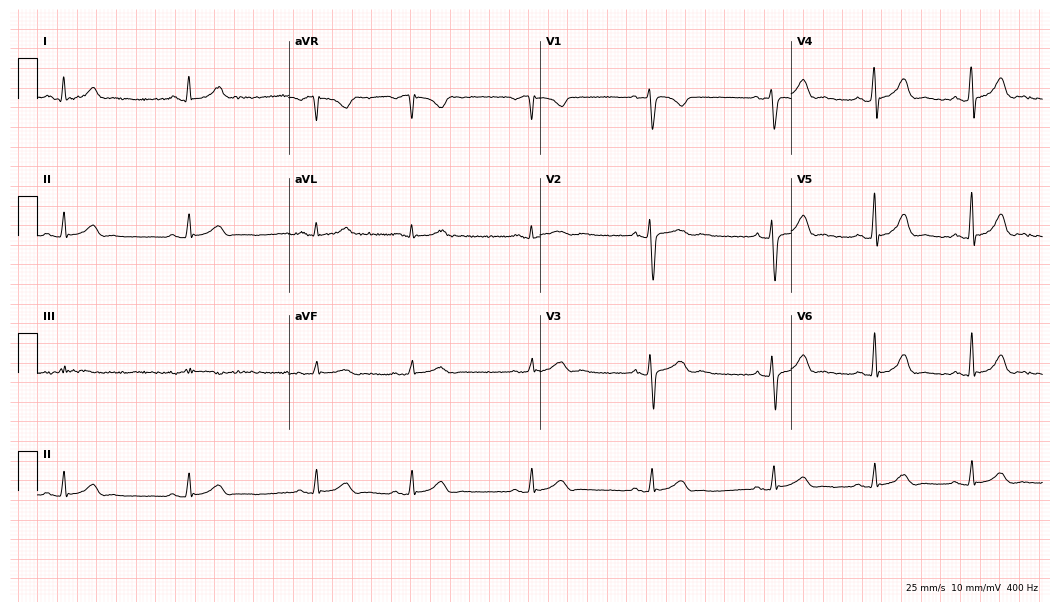
Resting 12-lead electrocardiogram (10.2-second recording at 400 Hz). Patient: a 39-year-old woman. None of these six findings is recorded: first-degree AV block, right bundle branch block, left bundle branch block, sinus bradycardia, atrial fibrillation, sinus tachycardia. Other findings, if any, are not listed.